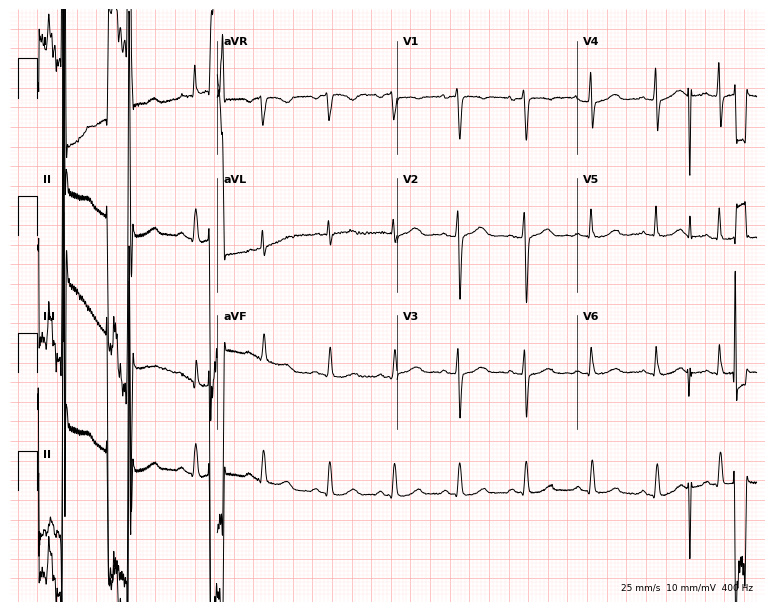
12-lead ECG from a female, 38 years old. Screened for six findings — first-degree AV block, right bundle branch block (RBBB), left bundle branch block (LBBB), sinus bradycardia, atrial fibrillation (AF), sinus tachycardia — none is recorded. Other findings, if any, are not listed.